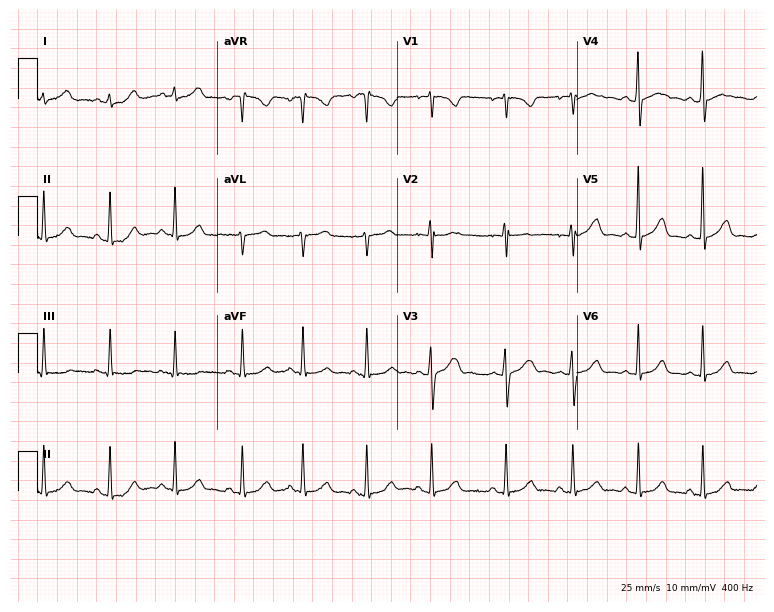
Standard 12-lead ECG recorded from a woman, 17 years old (7.3-second recording at 400 Hz). Read as a normal ECG.